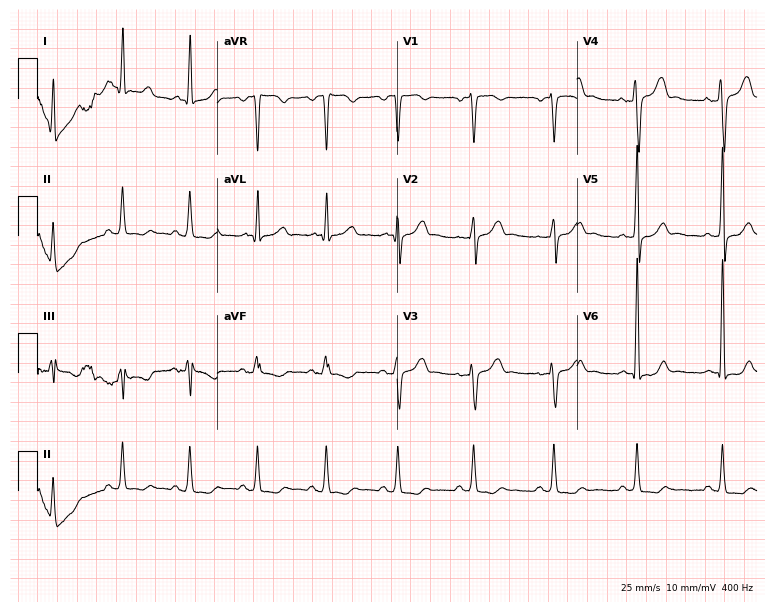
12-lead ECG from a male, 48 years old. No first-degree AV block, right bundle branch block, left bundle branch block, sinus bradycardia, atrial fibrillation or sinus tachycardia recorded for this tracing.